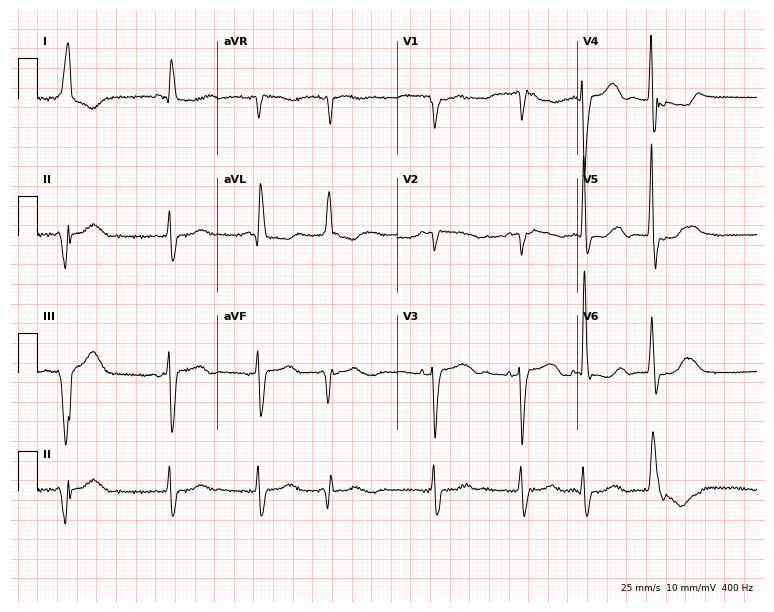
ECG (7.3-second recording at 400 Hz) — a female, 74 years old. Screened for six findings — first-degree AV block, right bundle branch block, left bundle branch block, sinus bradycardia, atrial fibrillation, sinus tachycardia — none is recorded.